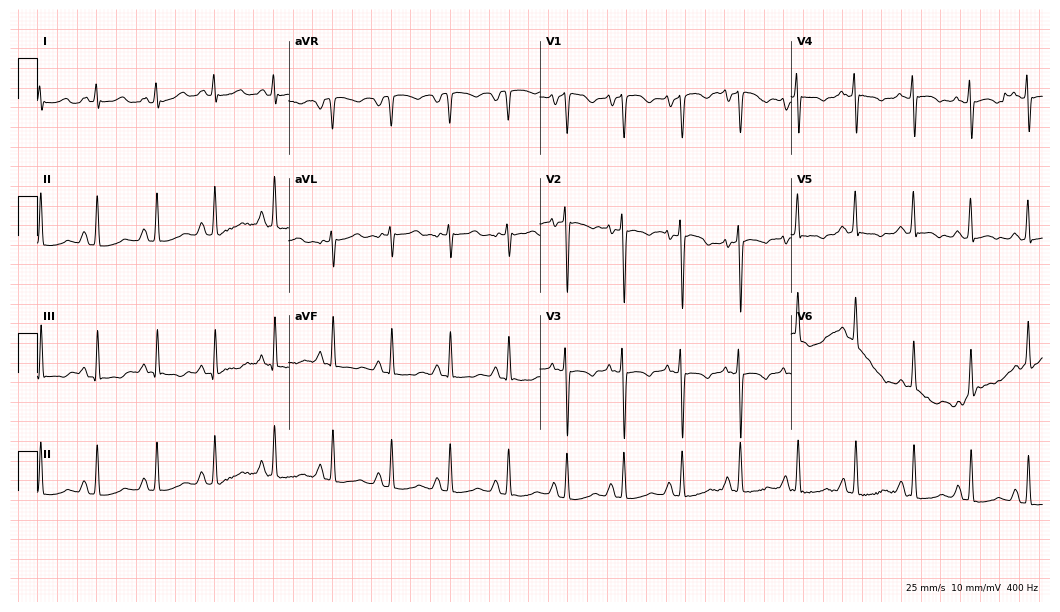
12-lead ECG from a female, 54 years old. Screened for six findings — first-degree AV block, right bundle branch block (RBBB), left bundle branch block (LBBB), sinus bradycardia, atrial fibrillation (AF), sinus tachycardia — none is recorded. Findings outside these six are not listed.